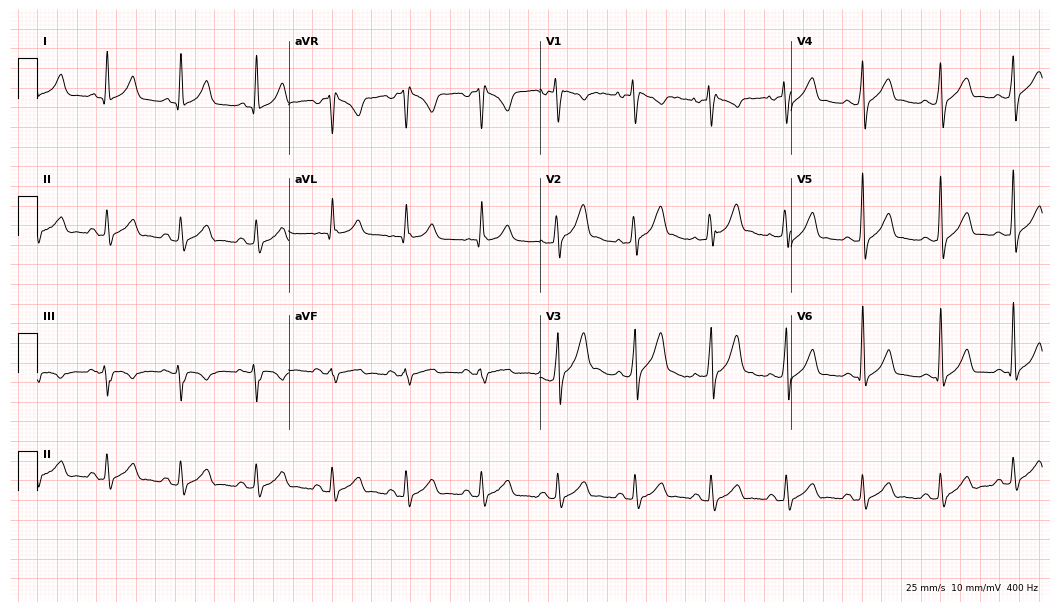
Resting 12-lead electrocardiogram (10.2-second recording at 400 Hz). Patient: a 35-year-old man. None of these six findings is recorded: first-degree AV block, right bundle branch block (RBBB), left bundle branch block (LBBB), sinus bradycardia, atrial fibrillation (AF), sinus tachycardia.